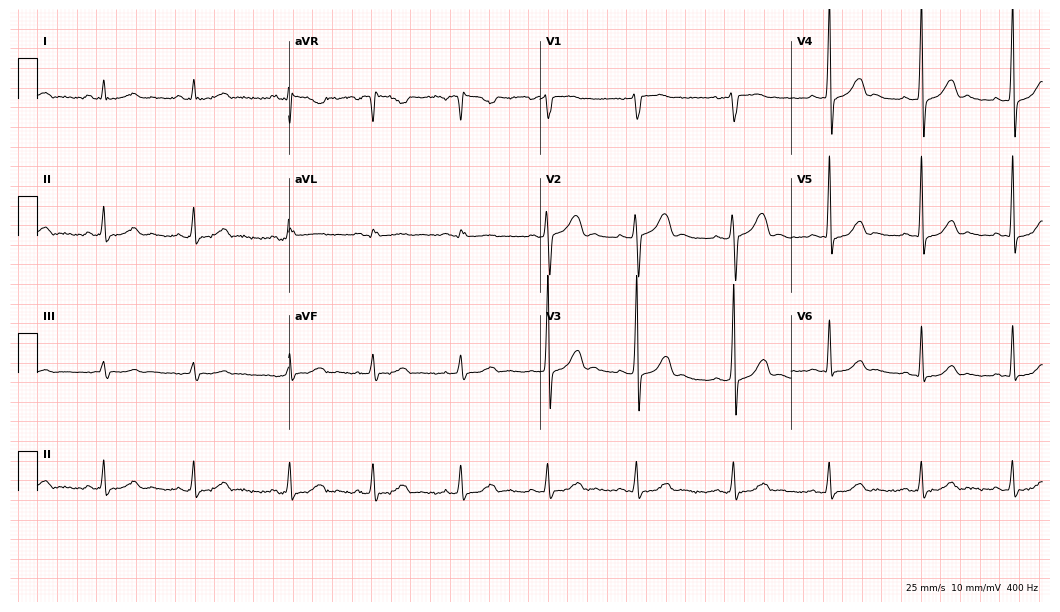
ECG — a male, 36 years old. Labelled as a normal ECG.